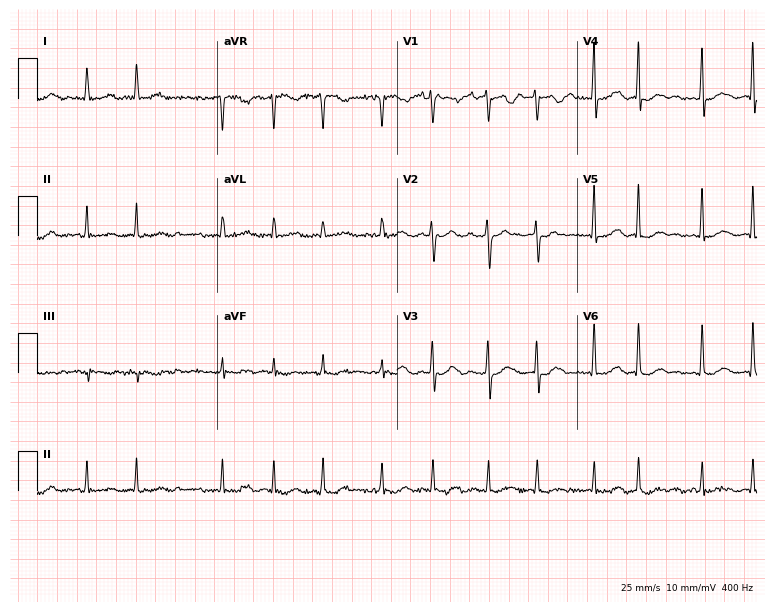
ECG (7.3-second recording at 400 Hz) — a female patient, 82 years old. Findings include atrial fibrillation (AF).